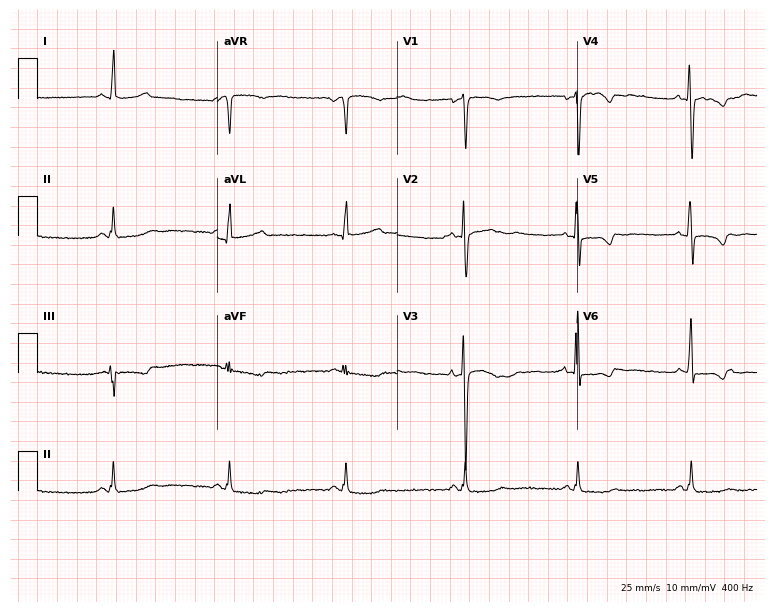
12-lead ECG from a 45-year-old female (7.3-second recording at 400 Hz). No first-degree AV block, right bundle branch block (RBBB), left bundle branch block (LBBB), sinus bradycardia, atrial fibrillation (AF) or sinus tachycardia recorded for this tracing.